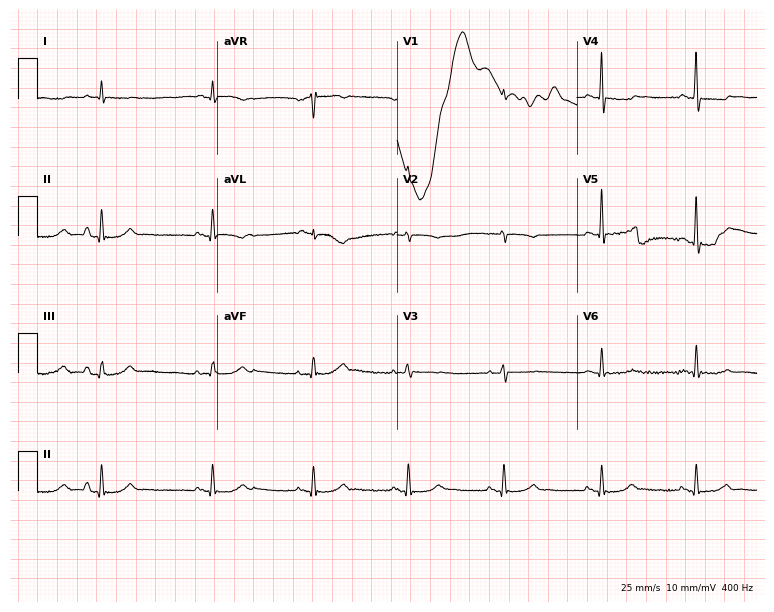
12-lead ECG from a man, 81 years old. Screened for six findings — first-degree AV block, right bundle branch block, left bundle branch block, sinus bradycardia, atrial fibrillation, sinus tachycardia — none is recorded.